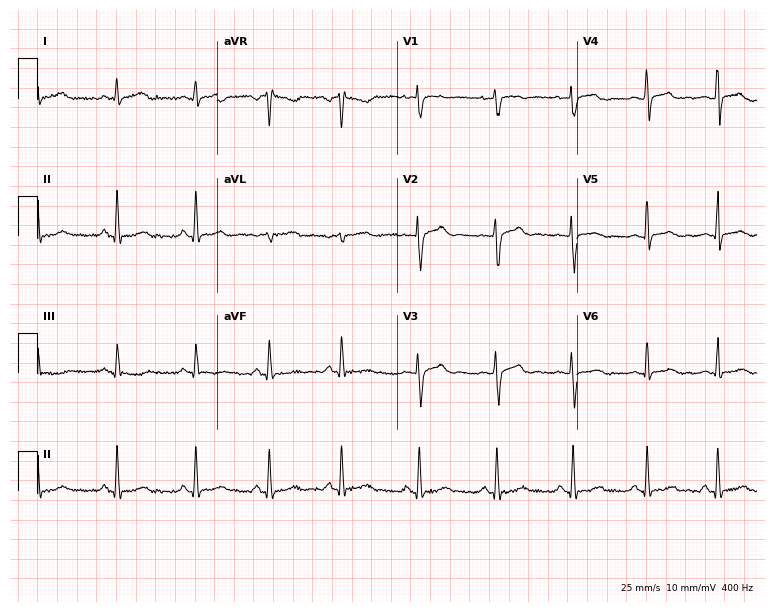
12-lead ECG from a female patient, 26 years old. No first-degree AV block, right bundle branch block, left bundle branch block, sinus bradycardia, atrial fibrillation or sinus tachycardia recorded for this tracing.